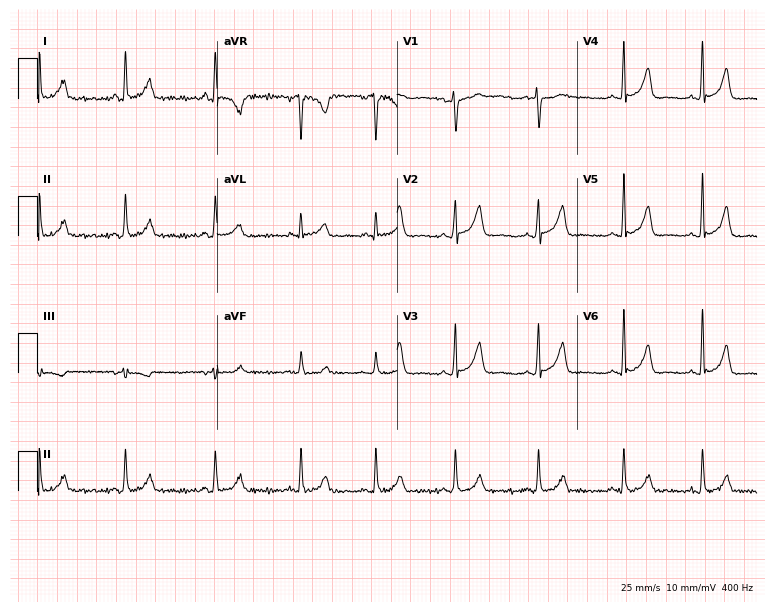
Standard 12-lead ECG recorded from a 30-year-old female. Read as a normal ECG.